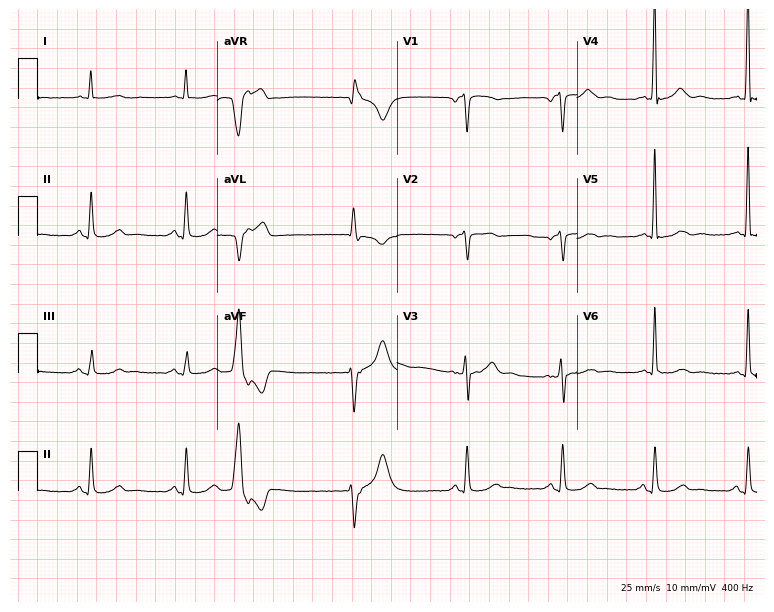
ECG (7.3-second recording at 400 Hz) — a man, 67 years old. Screened for six findings — first-degree AV block, right bundle branch block (RBBB), left bundle branch block (LBBB), sinus bradycardia, atrial fibrillation (AF), sinus tachycardia — none is recorded.